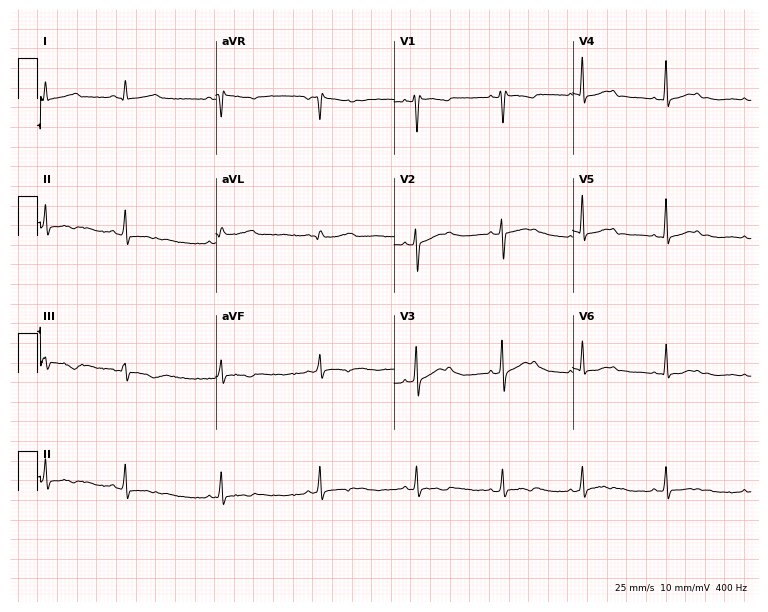
Electrocardiogram (7.3-second recording at 400 Hz), a 19-year-old female patient. Of the six screened findings (first-degree AV block, right bundle branch block (RBBB), left bundle branch block (LBBB), sinus bradycardia, atrial fibrillation (AF), sinus tachycardia), none is recorded. Only these six findings were labelled.